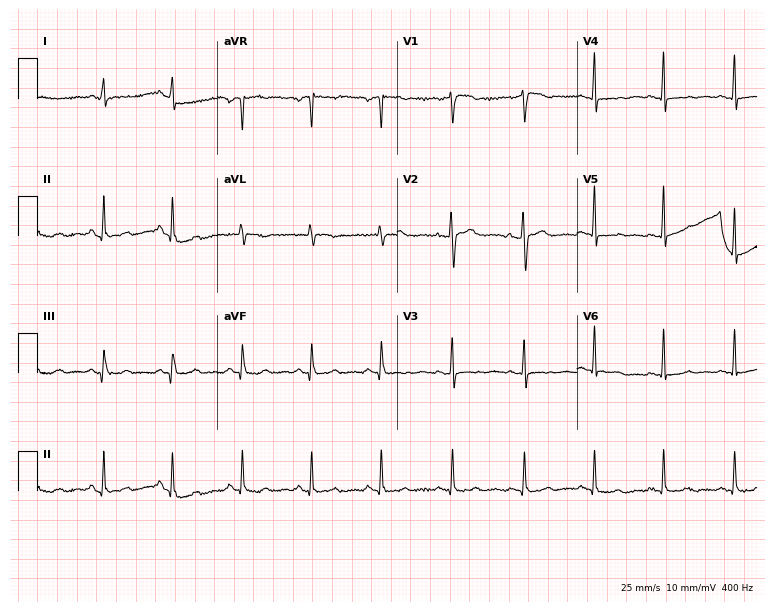
Resting 12-lead electrocardiogram. Patient: a female, 51 years old. None of these six findings is recorded: first-degree AV block, right bundle branch block, left bundle branch block, sinus bradycardia, atrial fibrillation, sinus tachycardia. Only these six findings were labelled.